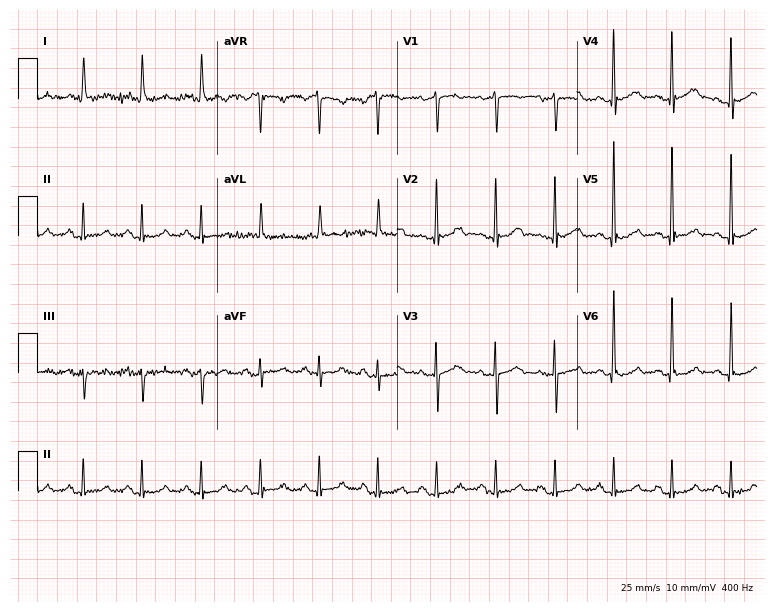
ECG — a male patient, 80 years old. Findings include sinus tachycardia (a sinus rate of 100 beats per minute or more).